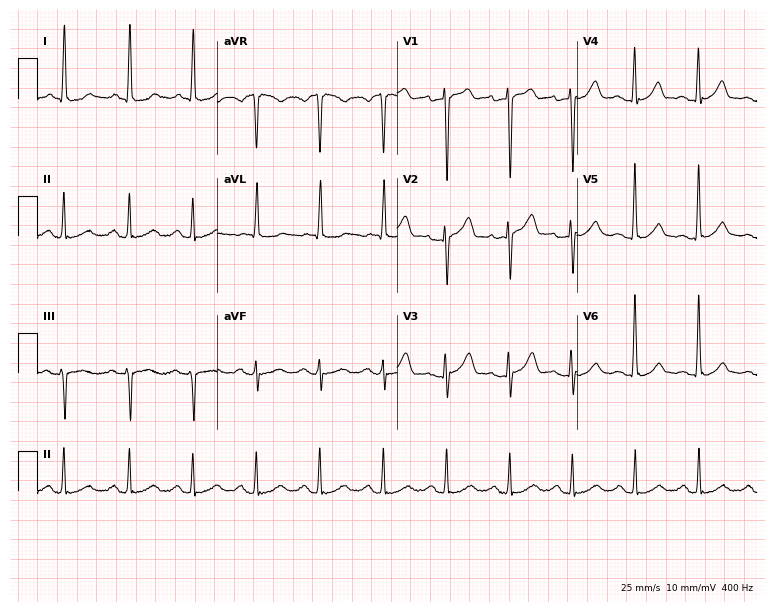
Standard 12-lead ECG recorded from a 57-year-old female patient. Read as a normal ECG.